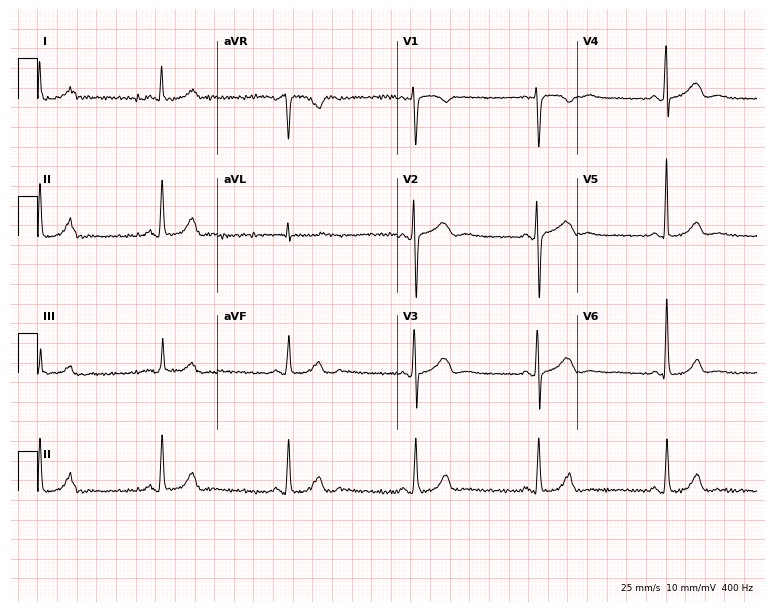
Standard 12-lead ECG recorded from a 66-year-old female (7.3-second recording at 400 Hz). The tracing shows sinus bradycardia (a sinus rate of 50 beats per minute or less).